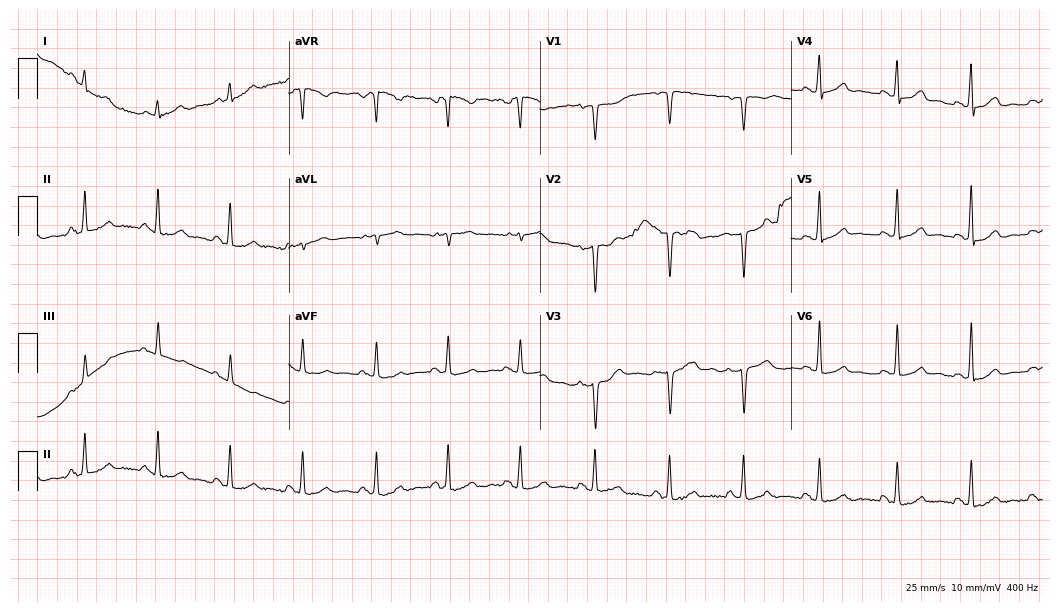
12-lead ECG (10.2-second recording at 400 Hz) from a female, 47 years old. Screened for six findings — first-degree AV block, right bundle branch block (RBBB), left bundle branch block (LBBB), sinus bradycardia, atrial fibrillation (AF), sinus tachycardia — none is recorded.